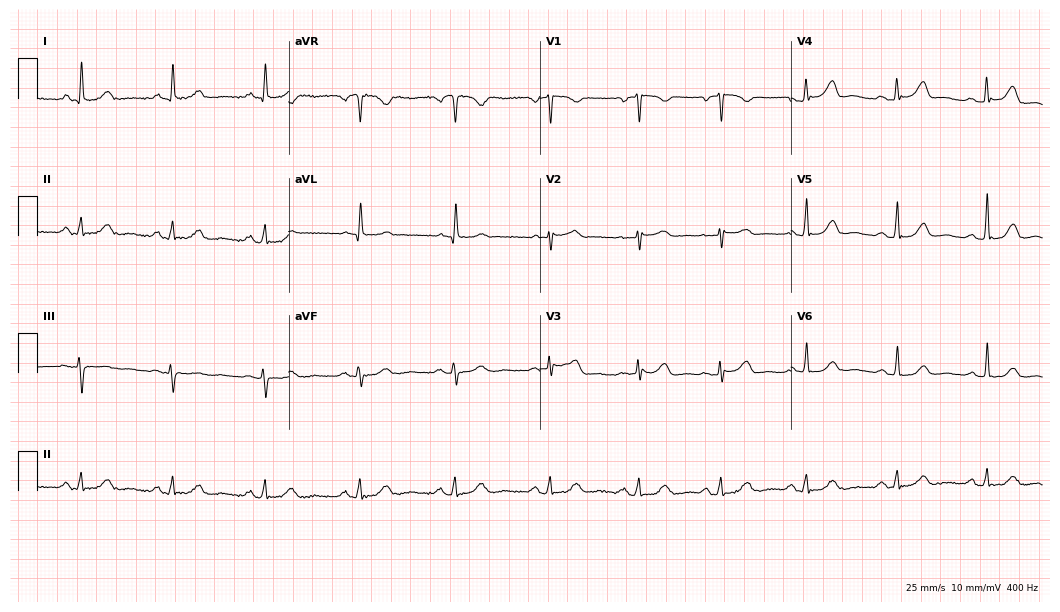
Standard 12-lead ECG recorded from a female patient, 55 years old. Read as a normal ECG.